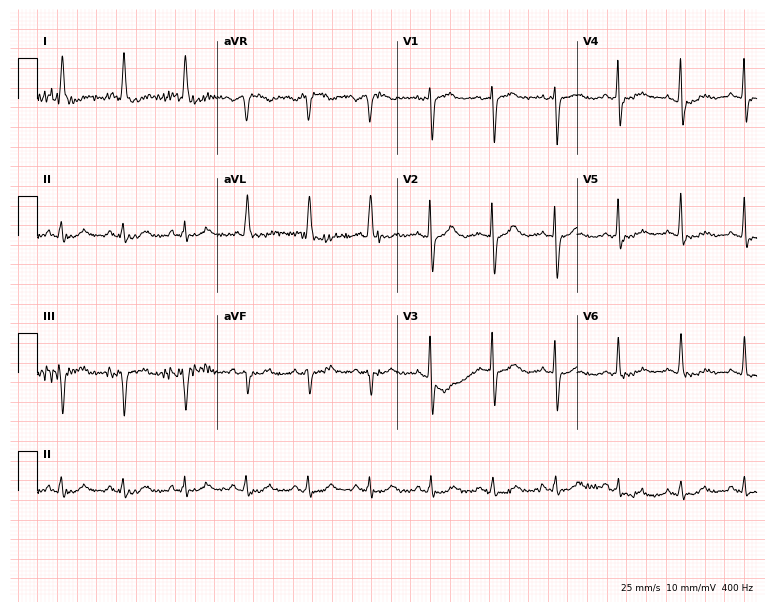
12-lead ECG from an 83-year-old female. No first-degree AV block, right bundle branch block, left bundle branch block, sinus bradycardia, atrial fibrillation or sinus tachycardia recorded for this tracing. Only these six findings were labelled.